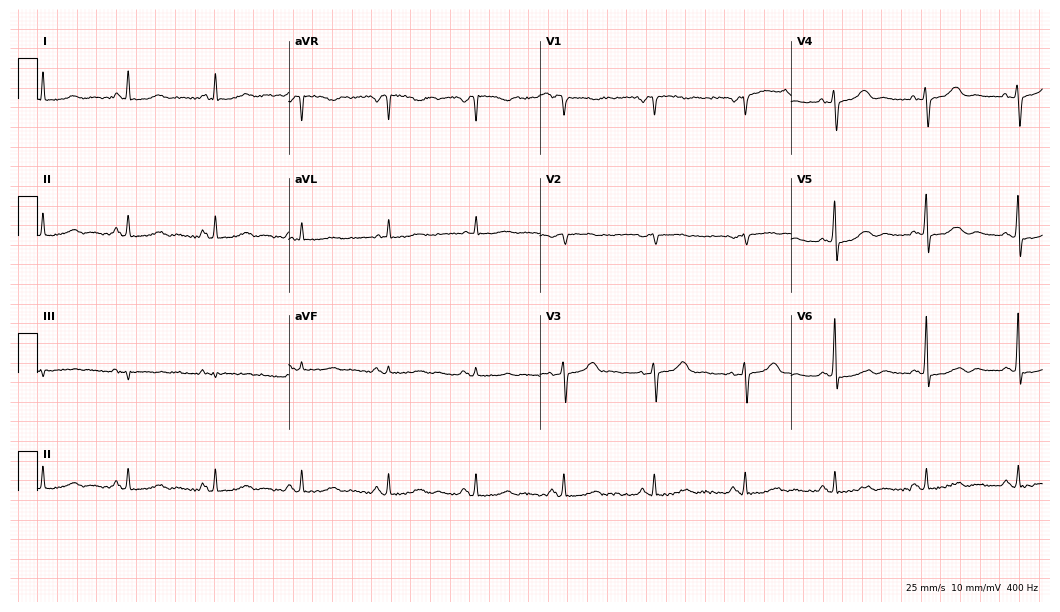
ECG — an 80-year-old female. Screened for six findings — first-degree AV block, right bundle branch block (RBBB), left bundle branch block (LBBB), sinus bradycardia, atrial fibrillation (AF), sinus tachycardia — none is recorded. Findings outside these six are not listed.